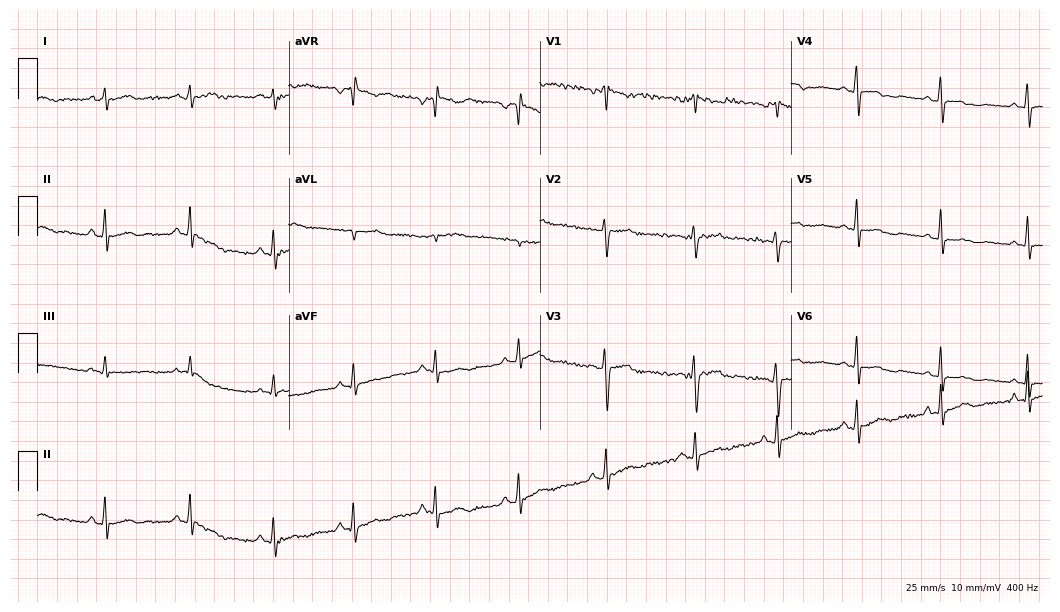
ECG (10.2-second recording at 400 Hz) — a woman, 25 years old. Labelled as a normal ECG.